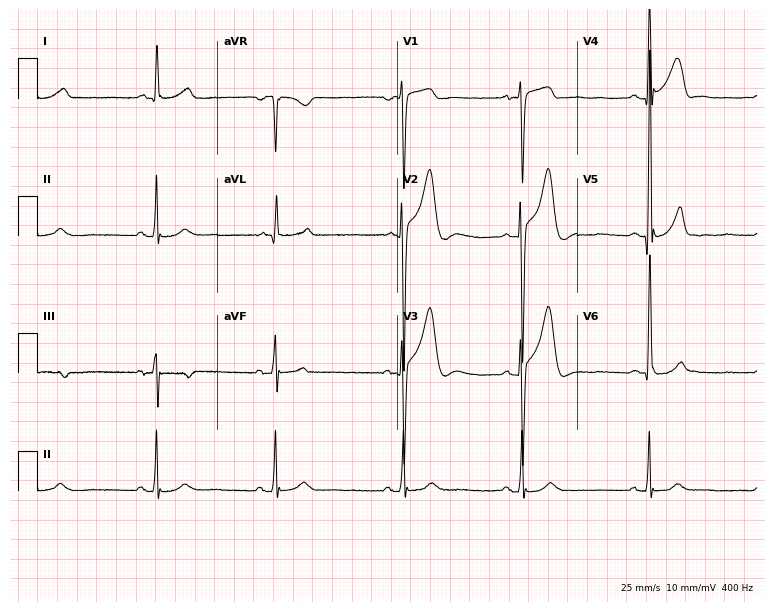
ECG — a male patient, 66 years old. Findings include sinus bradycardia (a sinus rate of 50 beats per minute or less).